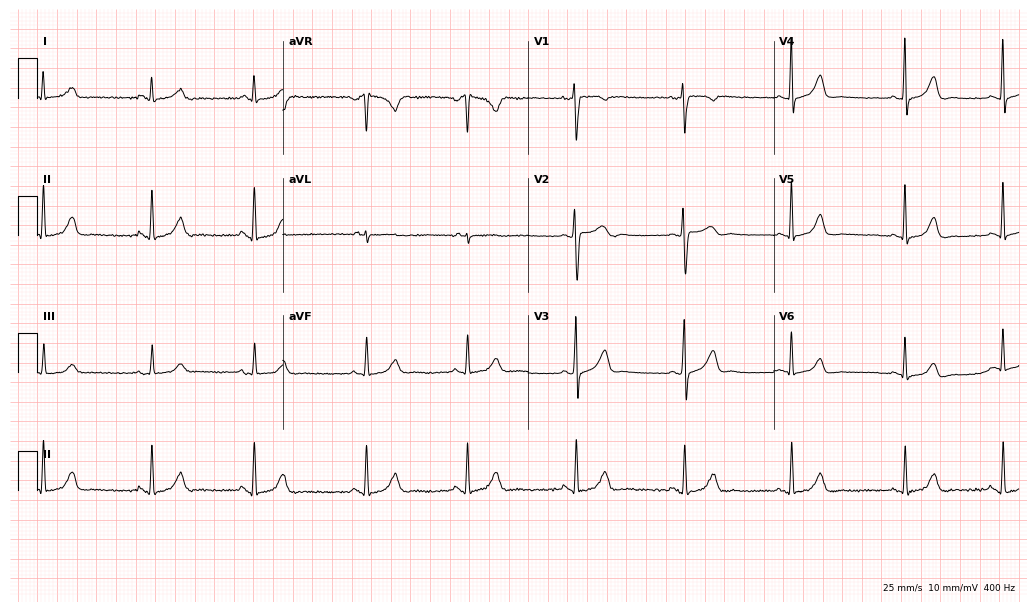
Standard 12-lead ECG recorded from a woman, 33 years old. None of these six findings is recorded: first-degree AV block, right bundle branch block, left bundle branch block, sinus bradycardia, atrial fibrillation, sinus tachycardia.